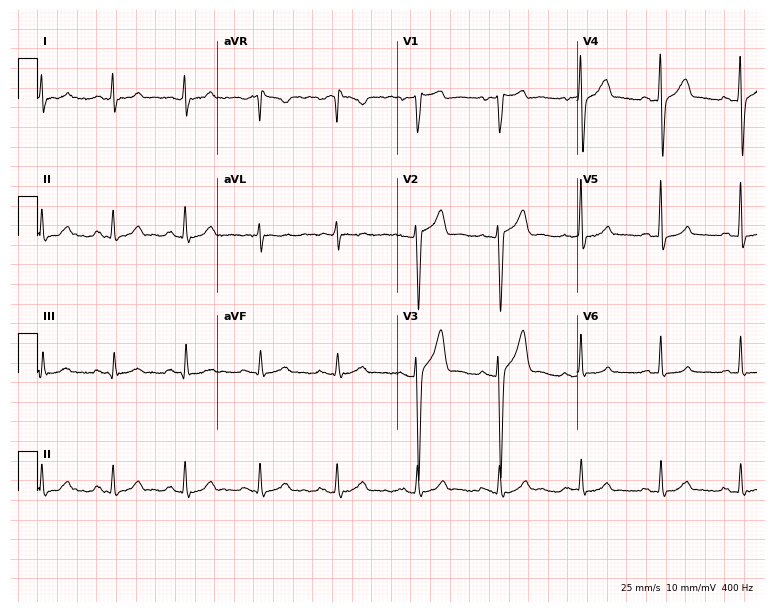
ECG (7.3-second recording at 400 Hz) — a male, 38 years old. Screened for six findings — first-degree AV block, right bundle branch block, left bundle branch block, sinus bradycardia, atrial fibrillation, sinus tachycardia — none is recorded. Findings outside these six are not listed.